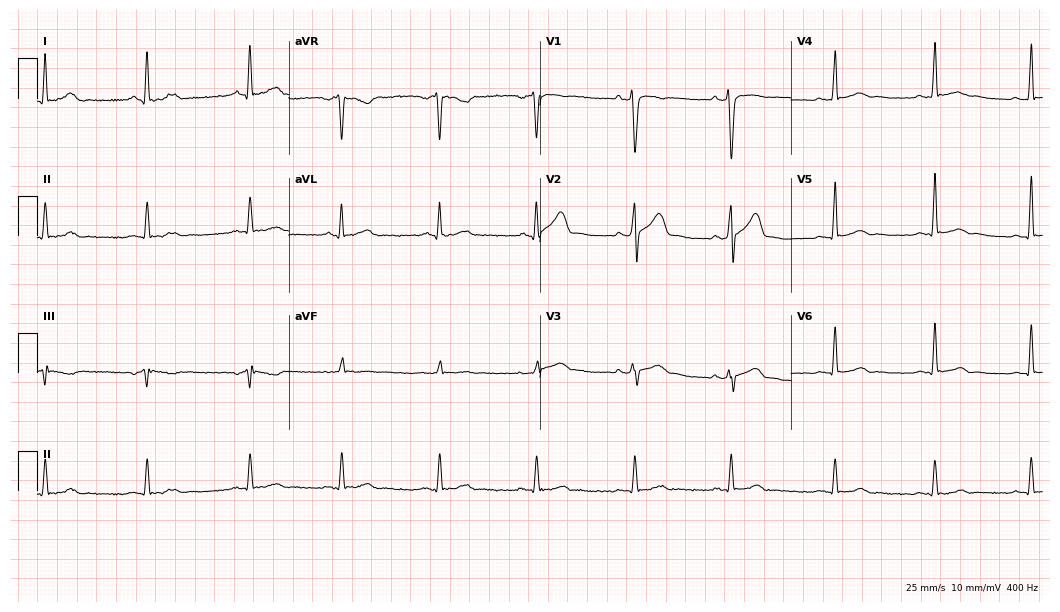
12-lead ECG from a 36-year-old male patient. Screened for six findings — first-degree AV block, right bundle branch block, left bundle branch block, sinus bradycardia, atrial fibrillation, sinus tachycardia — none is recorded. Only these six findings were labelled.